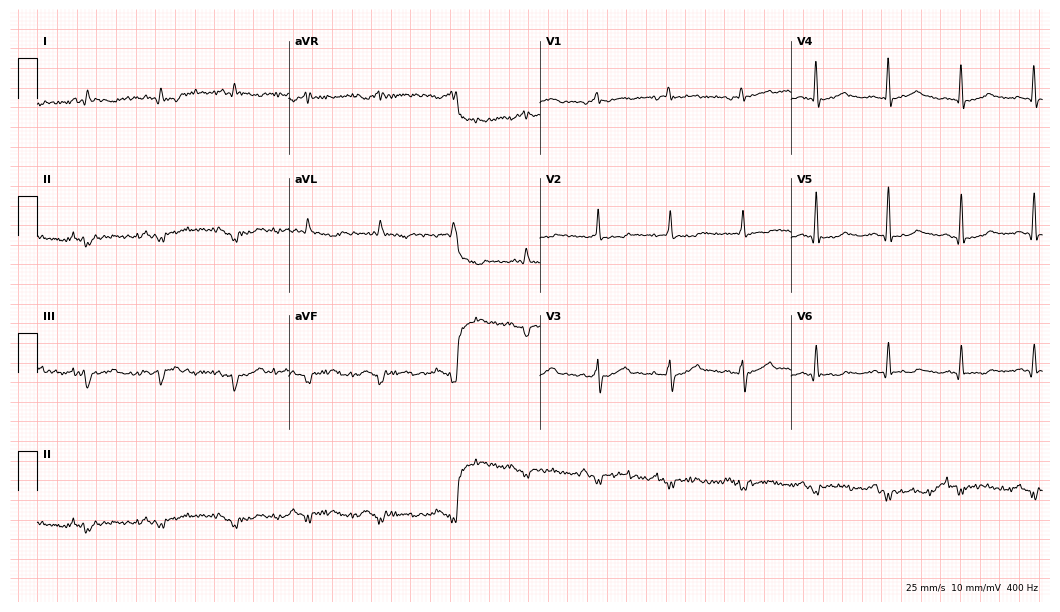
Electrocardiogram, a 69-year-old male. Of the six screened findings (first-degree AV block, right bundle branch block, left bundle branch block, sinus bradycardia, atrial fibrillation, sinus tachycardia), none is recorded.